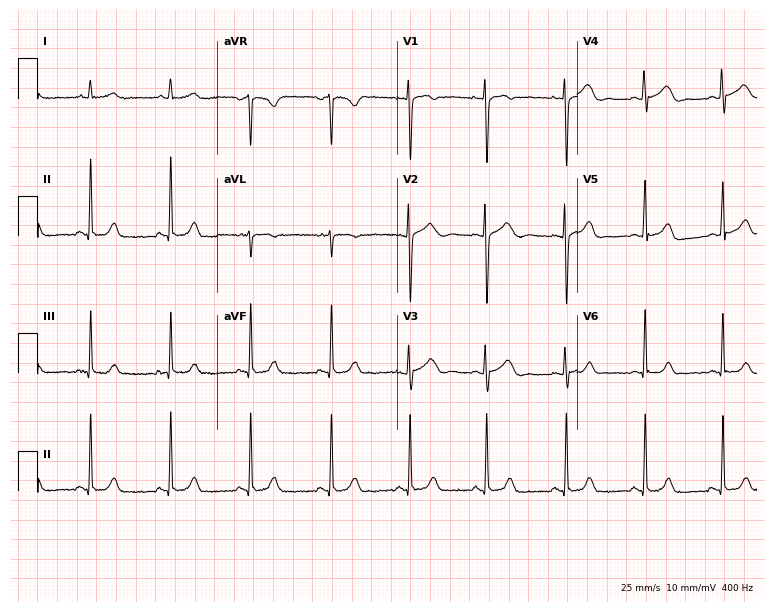
Resting 12-lead electrocardiogram (7.3-second recording at 400 Hz). Patient: a 32-year-old female. Read as a normal ECG.